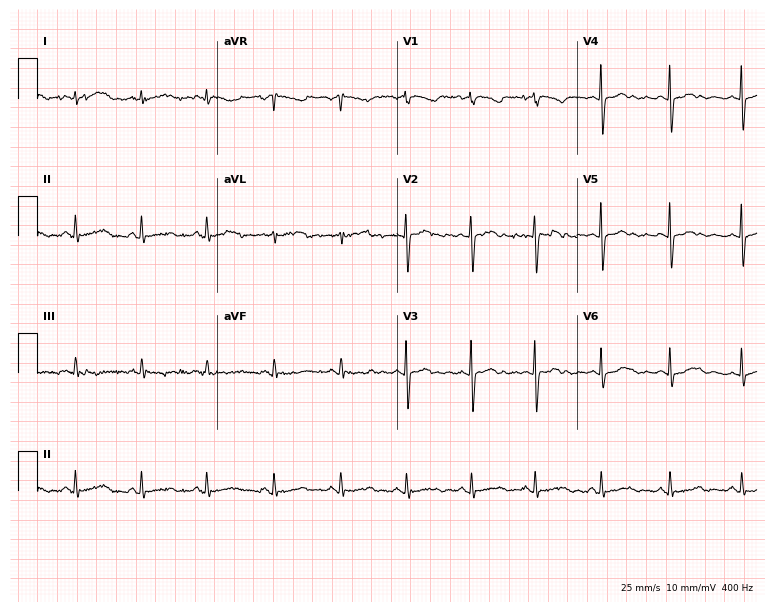
Resting 12-lead electrocardiogram (7.3-second recording at 400 Hz). Patient: a female, 31 years old. Read as a normal ECG.